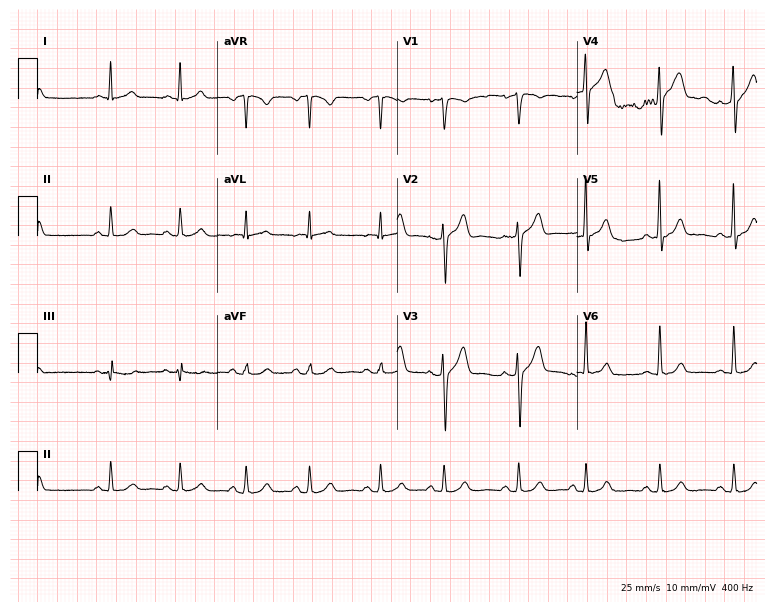
Resting 12-lead electrocardiogram. Patient: a 47-year-old man. Read as a normal ECG.